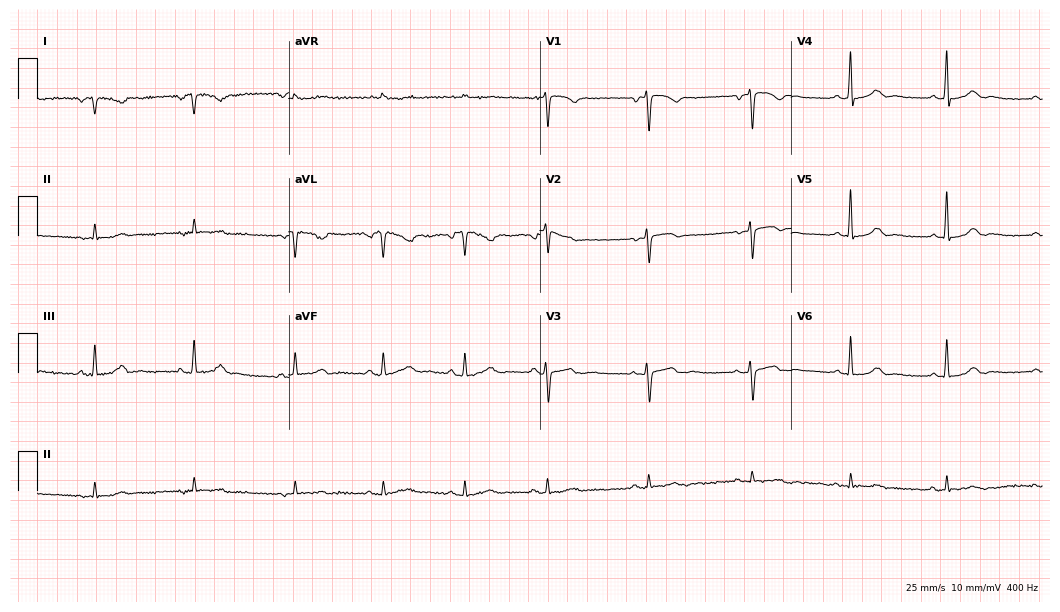
12-lead ECG from a female, 49 years old (10.2-second recording at 400 Hz). No first-degree AV block, right bundle branch block (RBBB), left bundle branch block (LBBB), sinus bradycardia, atrial fibrillation (AF) or sinus tachycardia recorded for this tracing. Findings outside these six are not listed.